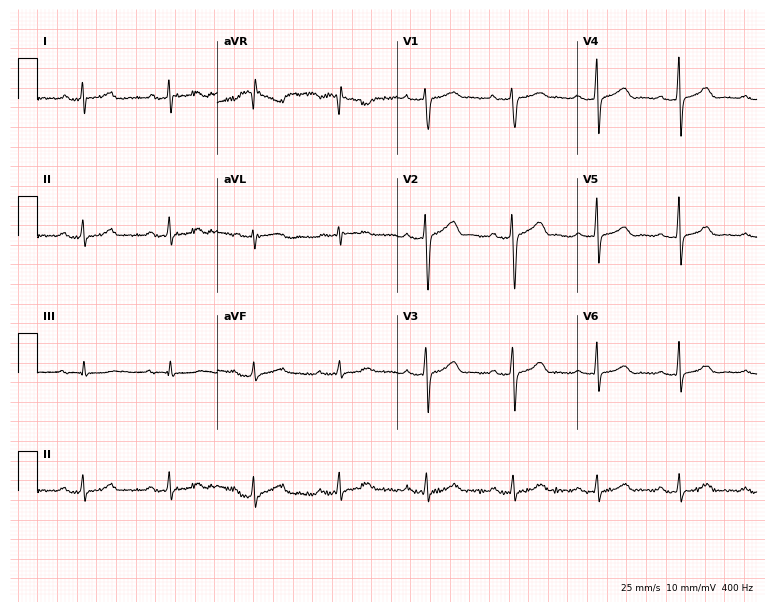
Electrocardiogram, a female patient, 28 years old. Overall reading on record: normal ECG.